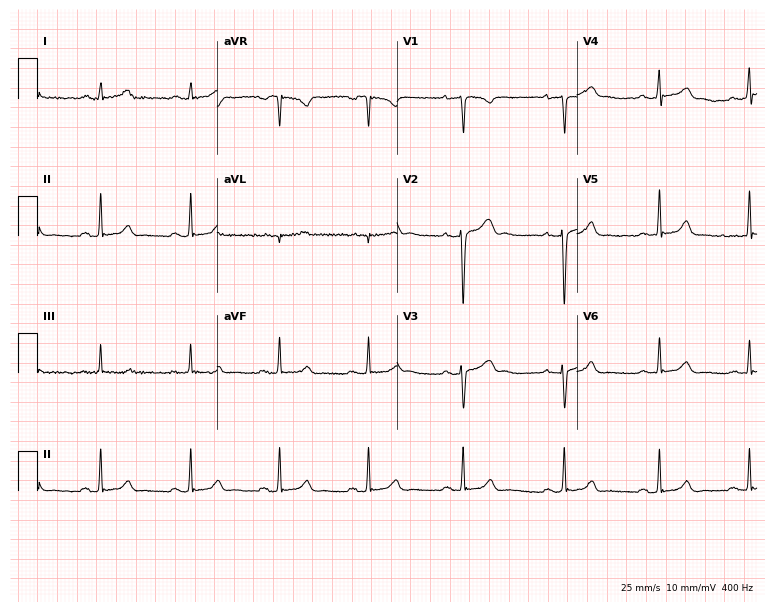
12-lead ECG from a 19-year-old female patient. Recorded interpretation: within normal limits.